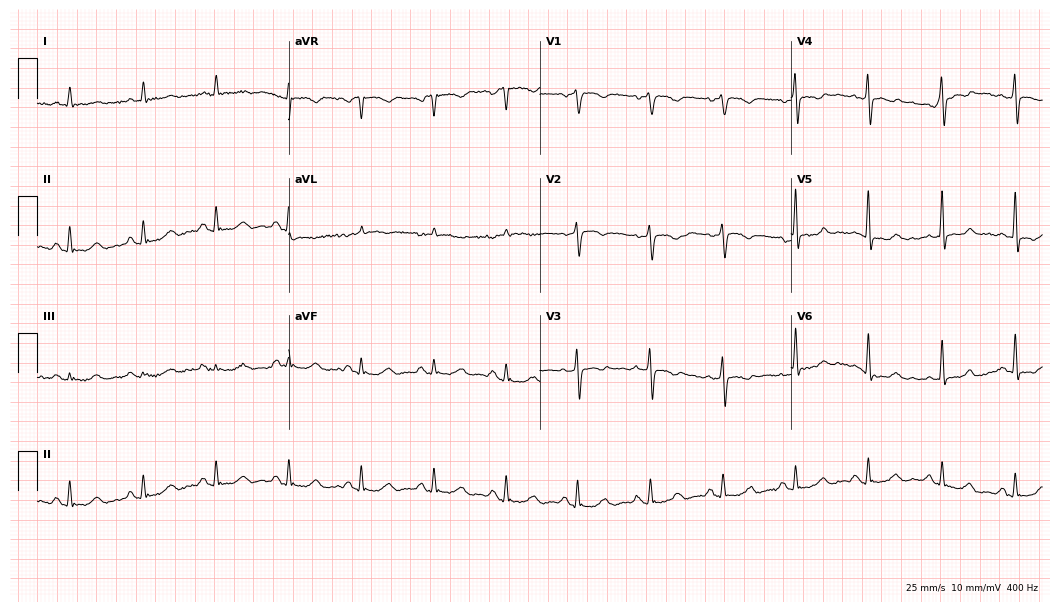
Standard 12-lead ECG recorded from a male, 46 years old (10.2-second recording at 400 Hz). None of these six findings is recorded: first-degree AV block, right bundle branch block, left bundle branch block, sinus bradycardia, atrial fibrillation, sinus tachycardia. Other findings, if any, are not listed.